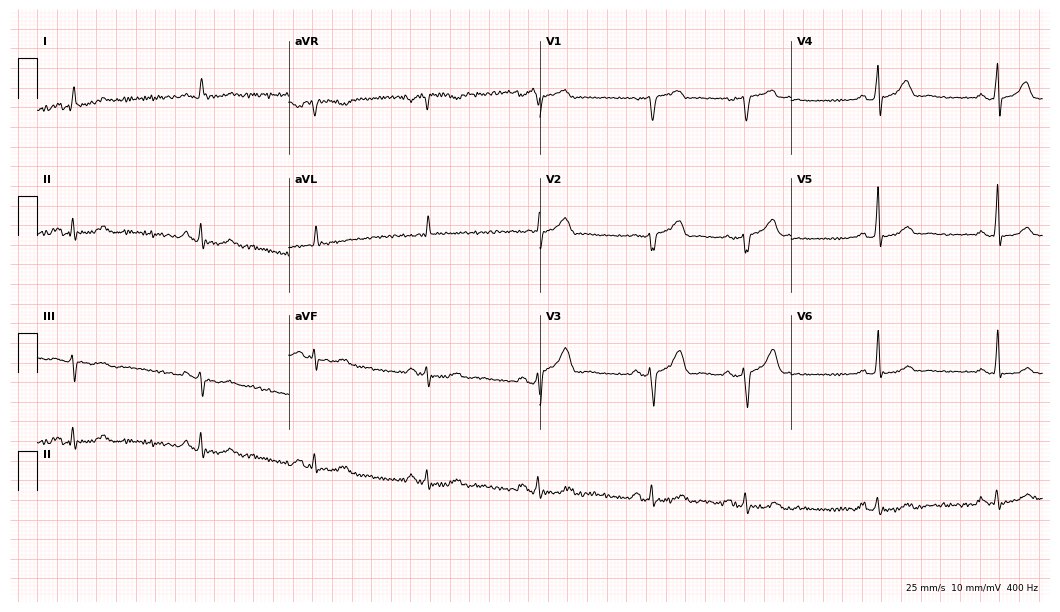
12-lead ECG from a female, 69 years old. Recorded interpretation: within normal limits.